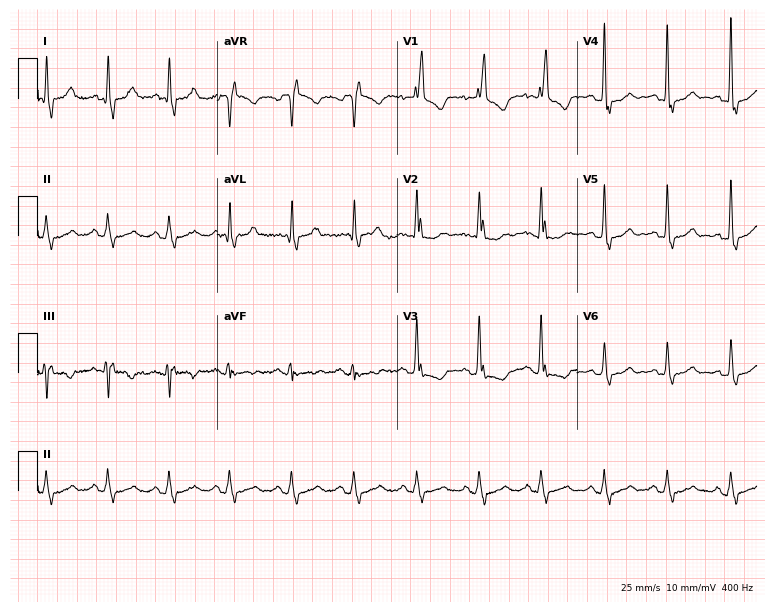
Resting 12-lead electrocardiogram. Patient: a 73-year-old woman. The tracing shows right bundle branch block (RBBB).